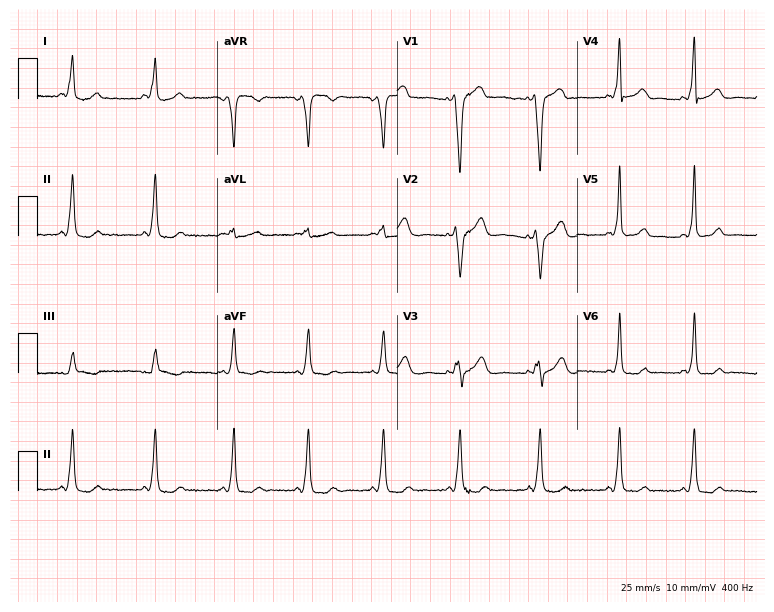
12-lead ECG from a female patient, 36 years old. Screened for six findings — first-degree AV block, right bundle branch block, left bundle branch block, sinus bradycardia, atrial fibrillation, sinus tachycardia — none is recorded. Only these six findings were labelled.